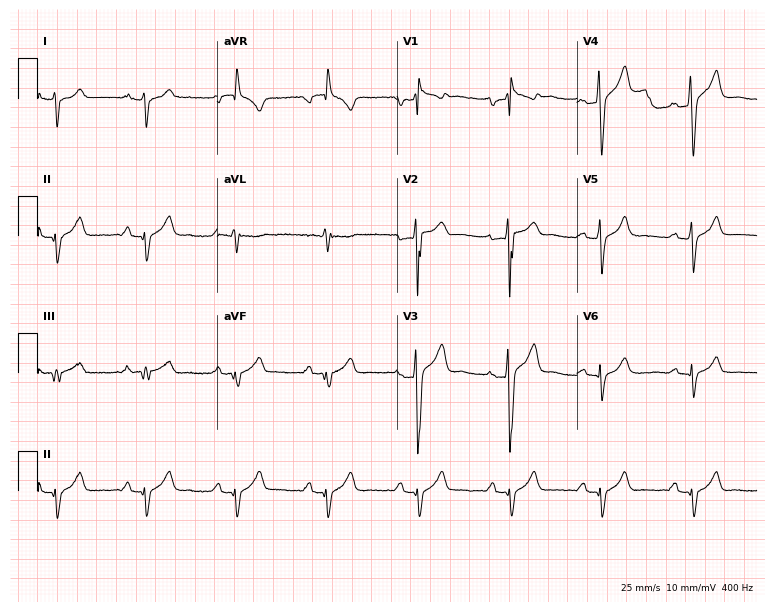
Electrocardiogram, a man, 40 years old. Of the six screened findings (first-degree AV block, right bundle branch block (RBBB), left bundle branch block (LBBB), sinus bradycardia, atrial fibrillation (AF), sinus tachycardia), none is recorded.